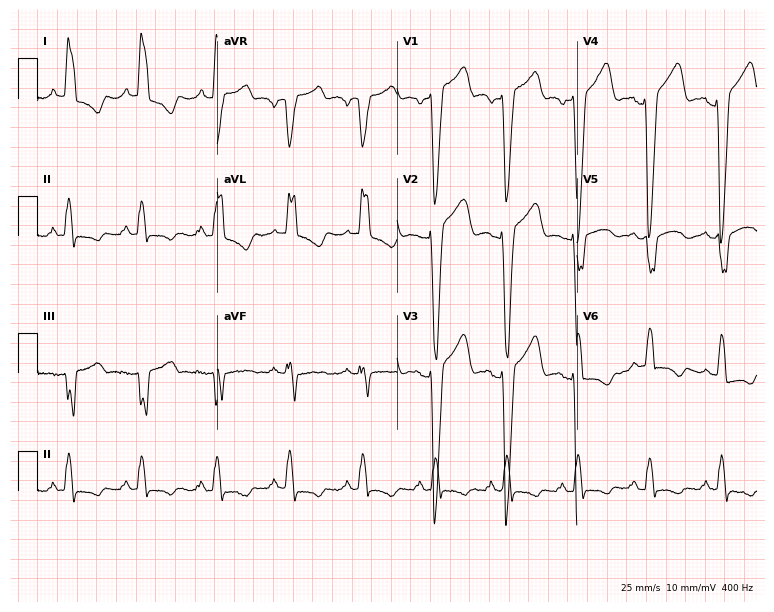
Standard 12-lead ECG recorded from a 57-year-old female patient. The tracing shows left bundle branch block.